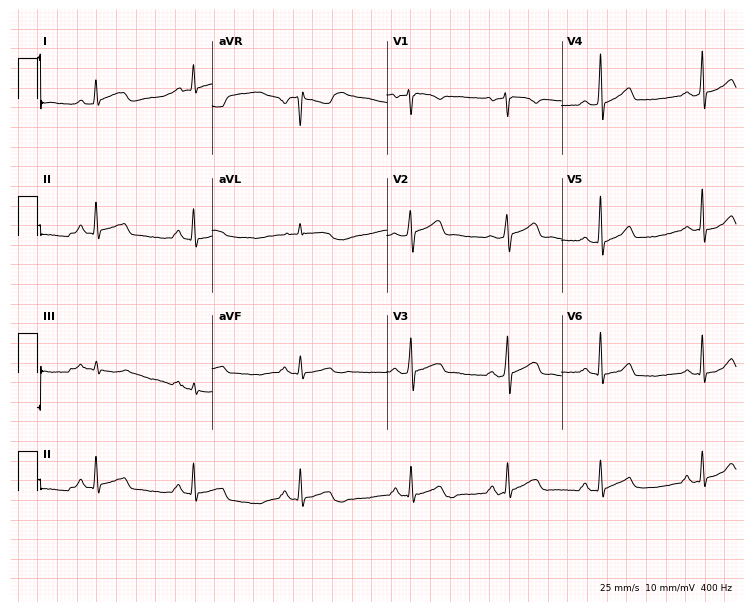
12-lead ECG (7.1-second recording at 400 Hz) from a 50-year-old male patient. Screened for six findings — first-degree AV block, right bundle branch block, left bundle branch block, sinus bradycardia, atrial fibrillation, sinus tachycardia — none is recorded.